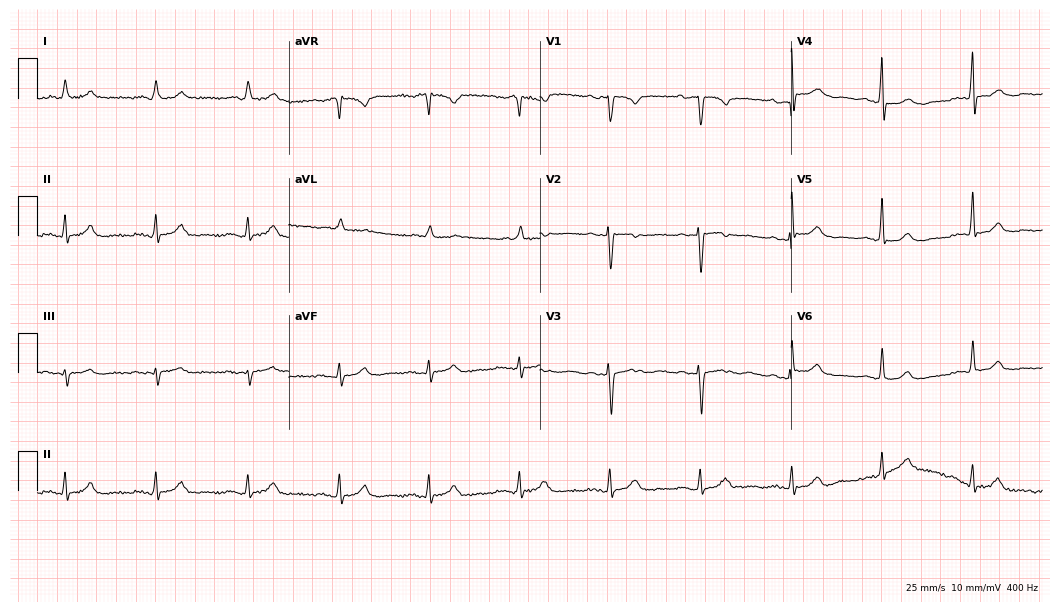
12-lead ECG from a 73-year-old female patient (10.2-second recording at 400 Hz). Recorded interpretation: within normal limits.